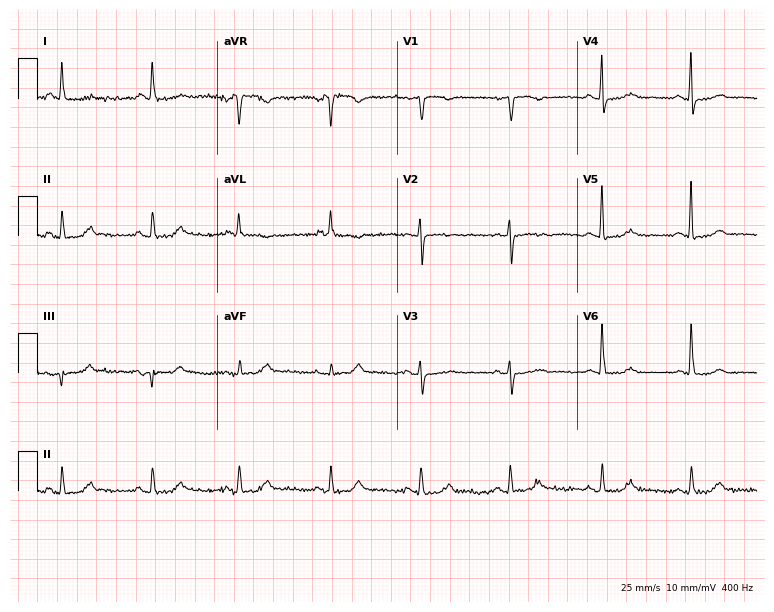
Standard 12-lead ECG recorded from a female, 66 years old. Read as a normal ECG.